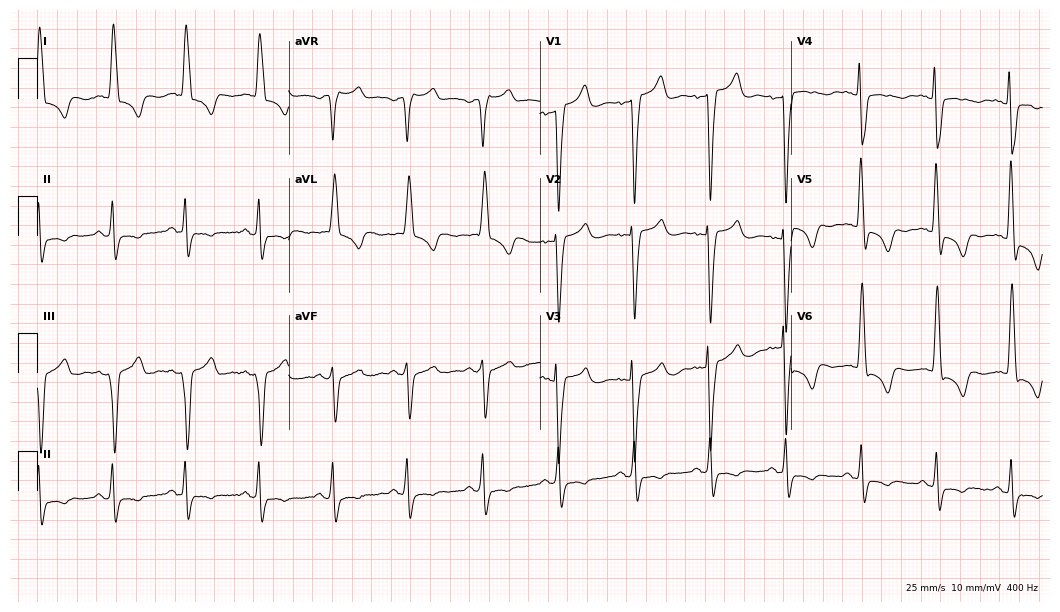
Resting 12-lead electrocardiogram. Patient: a 76-year-old female. None of these six findings is recorded: first-degree AV block, right bundle branch block, left bundle branch block, sinus bradycardia, atrial fibrillation, sinus tachycardia. Only these six findings were labelled.